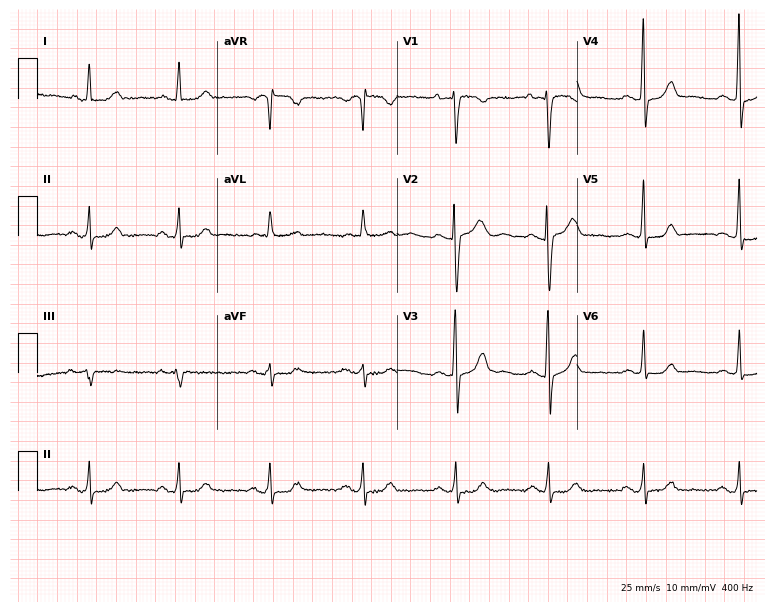
12-lead ECG from a female, 54 years old. No first-degree AV block, right bundle branch block, left bundle branch block, sinus bradycardia, atrial fibrillation or sinus tachycardia recorded for this tracing.